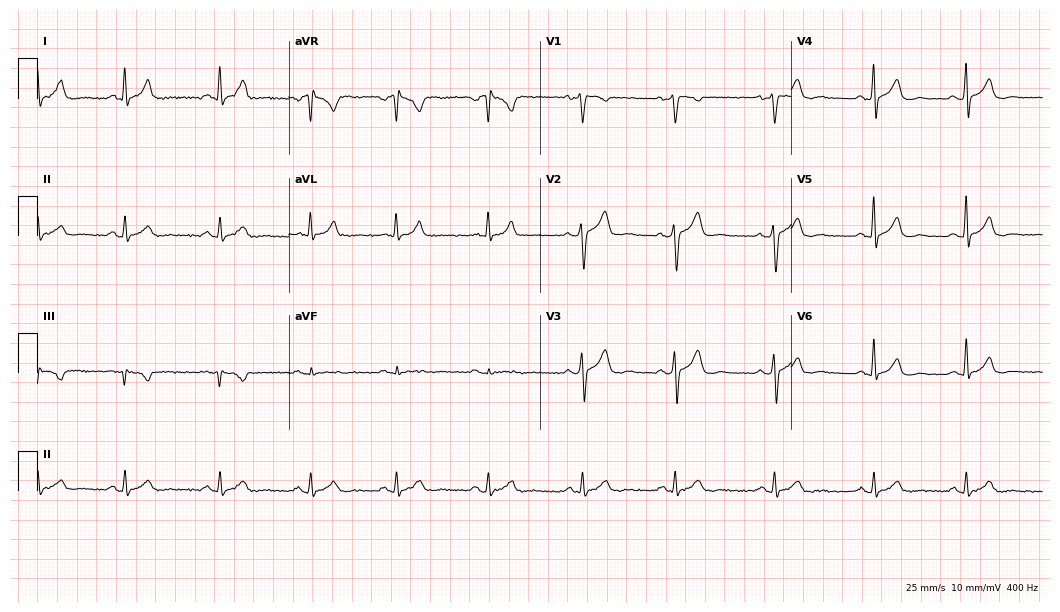
ECG (10.2-second recording at 400 Hz) — a man, 45 years old. Labelled as a normal ECG.